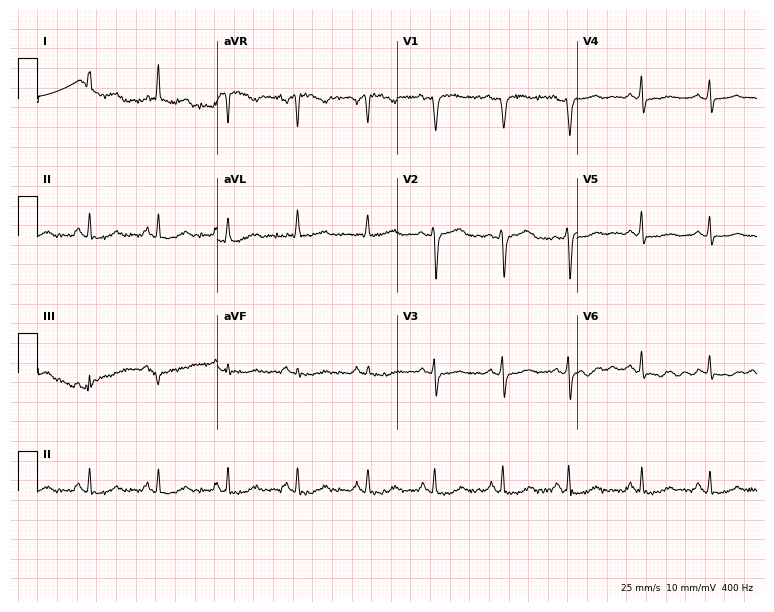
Electrocardiogram (7.3-second recording at 400 Hz), a woman, 58 years old. Of the six screened findings (first-degree AV block, right bundle branch block (RBBB), left bundle branch block (LBBB), sinus bradycardia, atrial fibrillation (AF), sinus tachycardia), none is recorded.